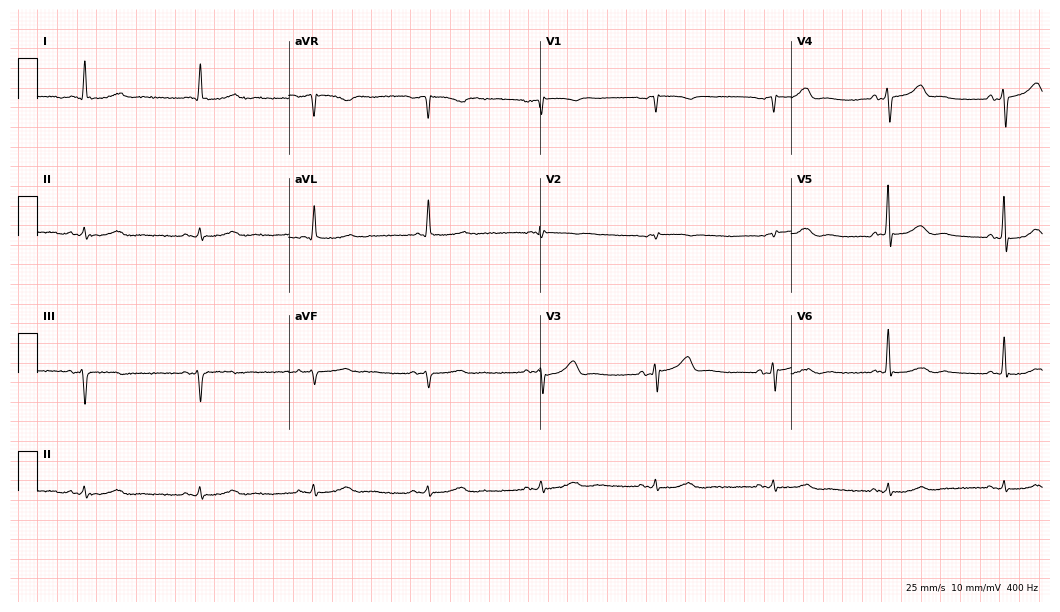
12-lead ECG from a male, 73 years old. No first-degree AV block, right bundle branch block (RBBB), left bundle branch block (LBBB), sinus bradycardia, atrial fibrillation (AF) or sinus tachycardia recorded for this tracing. Other findings, if any, are not listed.